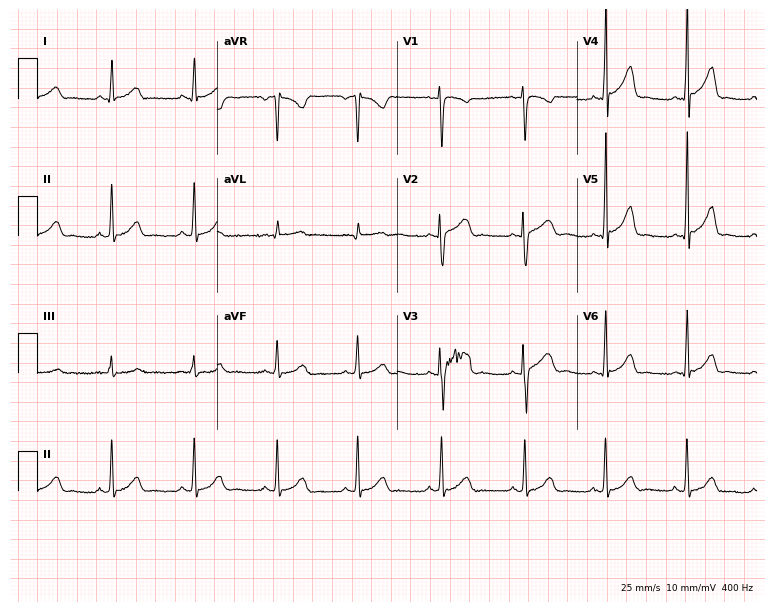
Resting 12-lead electrocardiogram. Patient: a female, 20 years old. Read as a normal ECG.